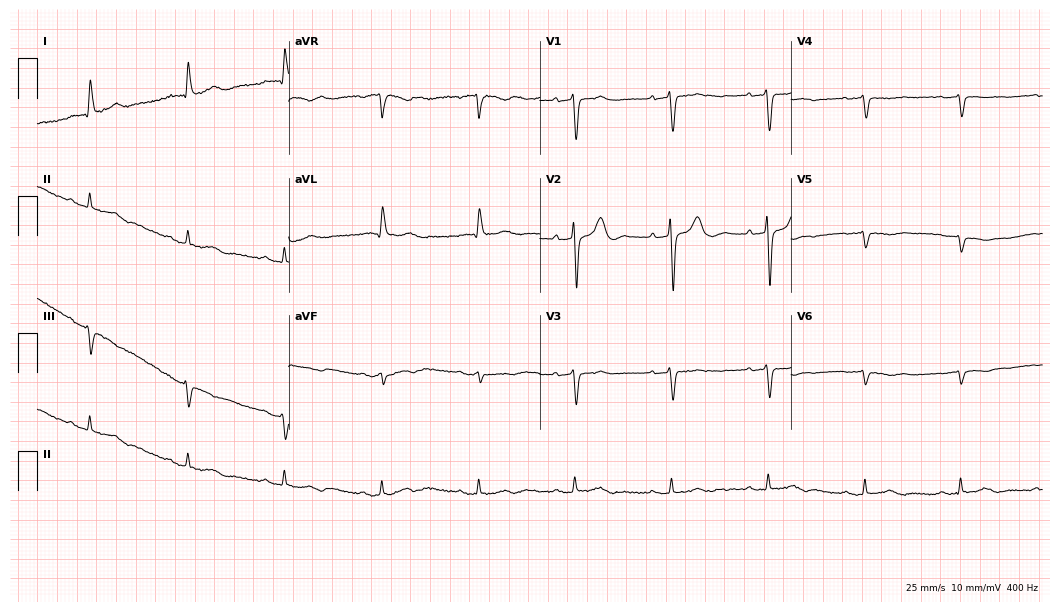
Standard 12-lead ECG recorded from a man, 79 years old. None of these six findings is recorded: first-degree AV block, right bundle branch block, left bundle branch block, sinus bradycardia, atrial fibrillation, sinus tachycardia.